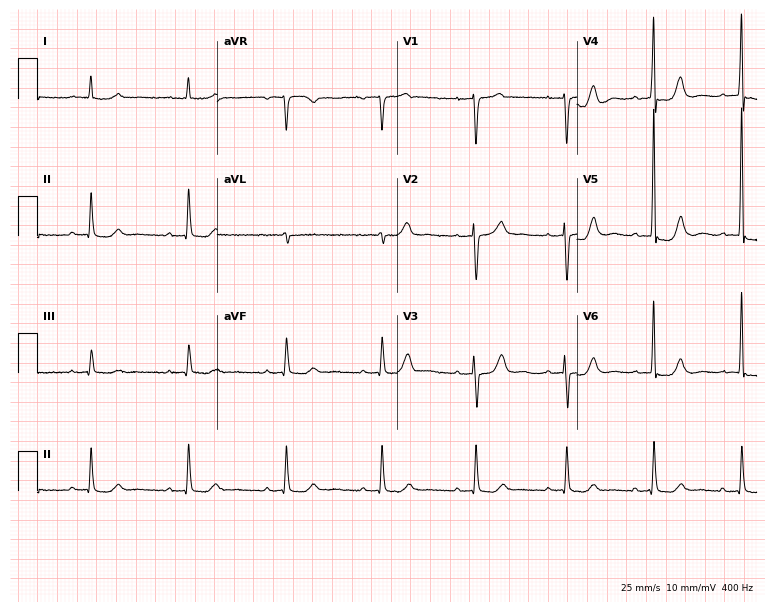
Resting 12-lead electrocardiogram (7.3-second recording at 400 Hz). Patient: a male, 89 years old. None of these six findings is recorded: first-degree AV block, right bundle branch block, left bundle branch block, sinus bradycardia, atrial fibrillation, sinus tachycardia. Only these six findings were labelled.